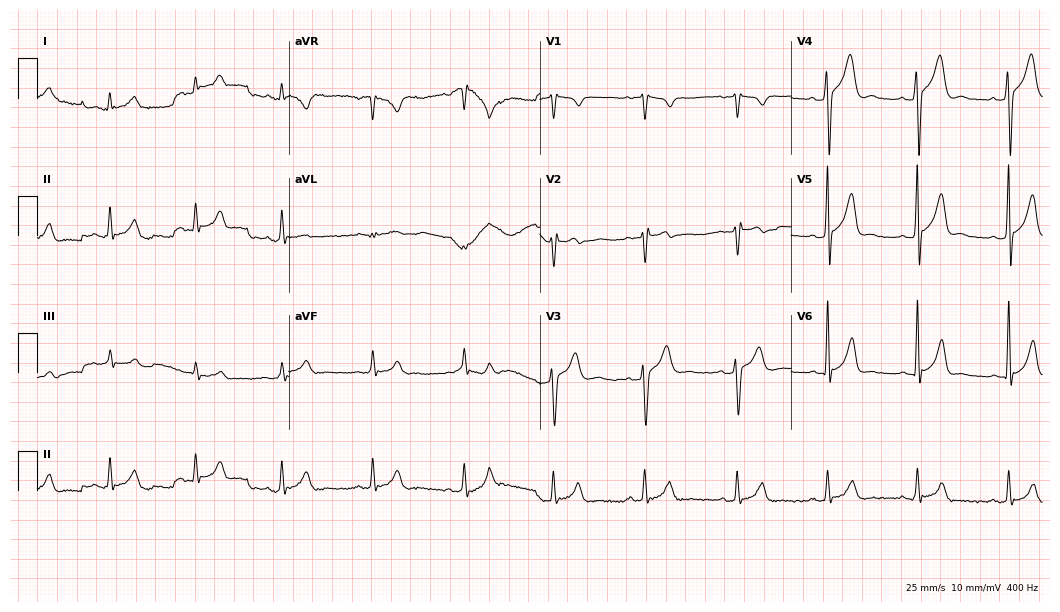
ECG — a male, 23 years old. Screened for six findings — first-degree AV block, right bundle branch block, left bundle branch block, sinus bradycardia, atrial fibrillation, sinus tachycardia — none is recorded.